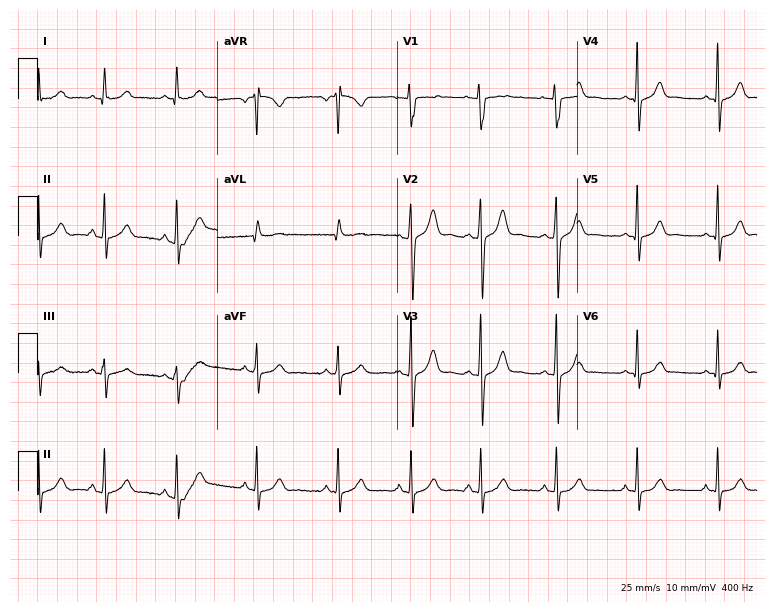
Electrocardiogram, a female, 20 years old. Overall reading on record: normal ECG.